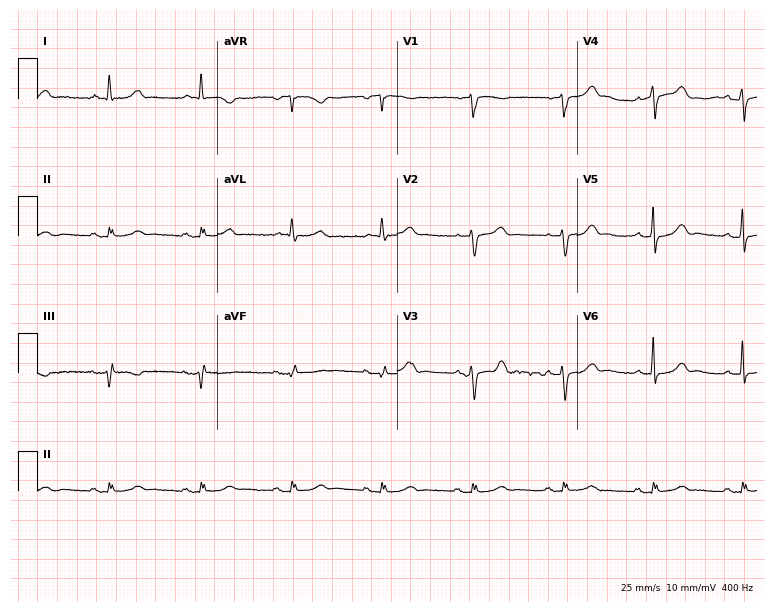
Standard 12-lead ECG recorded from a 77-year-old male (7.3-second recording at 400 Hz). None of these six findings is recorded: first-degree AV block, right bundle branch block, left bundle branch block, sinus bradycardia, atrial fibrillation, sinus tachycardia. Other findings, if any, are not listed.